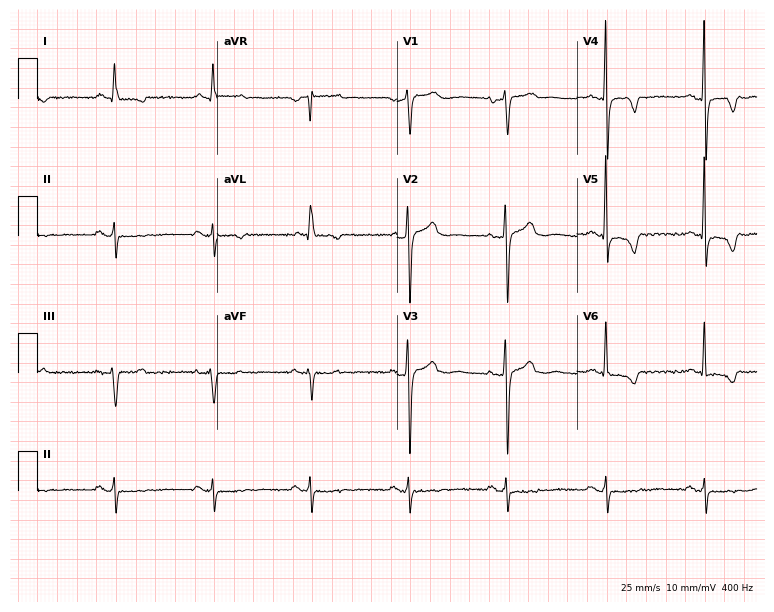
ECG — a 73-year-old man. Screened for six findings — first-degree AV block, right bundle branch block, left bundle branch block, sinus bradycardia, atrial fibrillation, sinus tachycardia — none is recorded. Other findings, if any, are not listed.